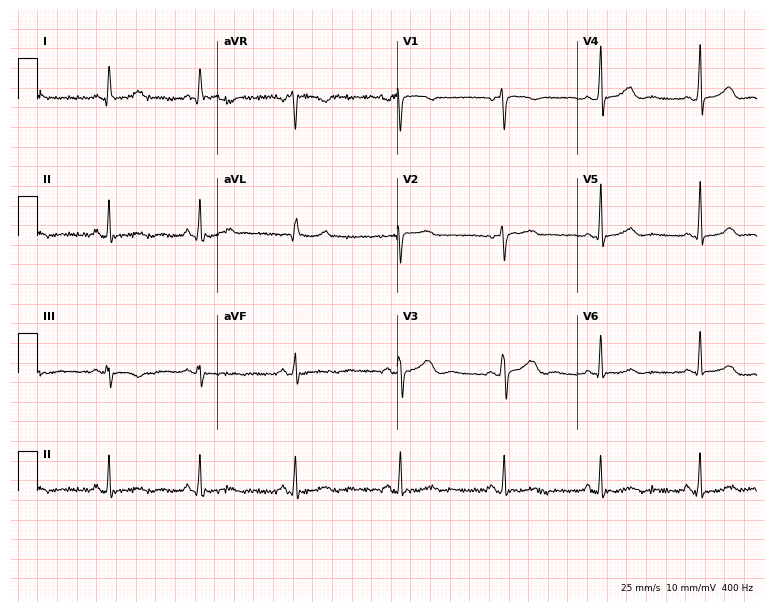
12-lead ECG from a female, 38 years old. Screened for six findings — first-degree AV block, right bundle branch block, left bundle branch block, sinus bradycardia, atrial fibrillation, sinus tachycardia — none is recorded.